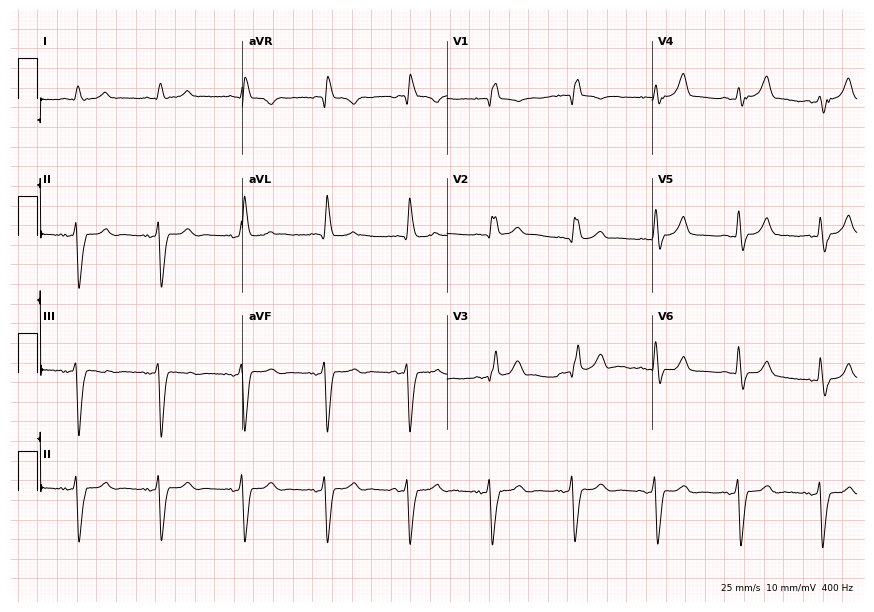
Resting 12-lead electrocardiogram. Patient: a male, 85 years old. The tracing shows right bundle branch block.